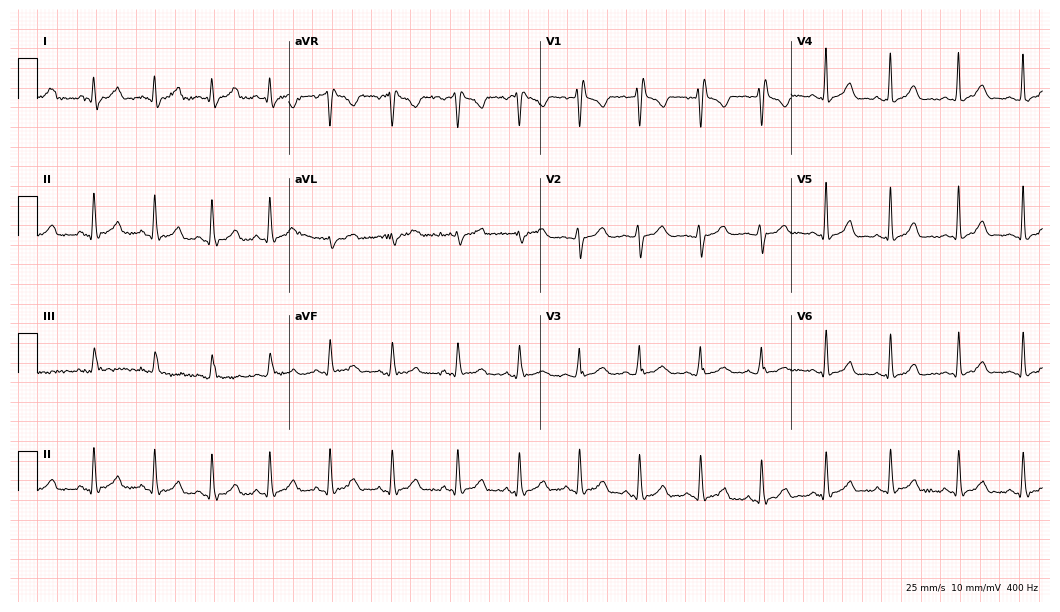
12-lead ECG (10.2-second recording at 400 Hz) from a female patient, 32 years old. Screened for six findings — first-degree AV block, right bundle branch block, left bundle branch block, sinus bradycardia, atrial fibrillation, sinus tachycardia — none is recorded.